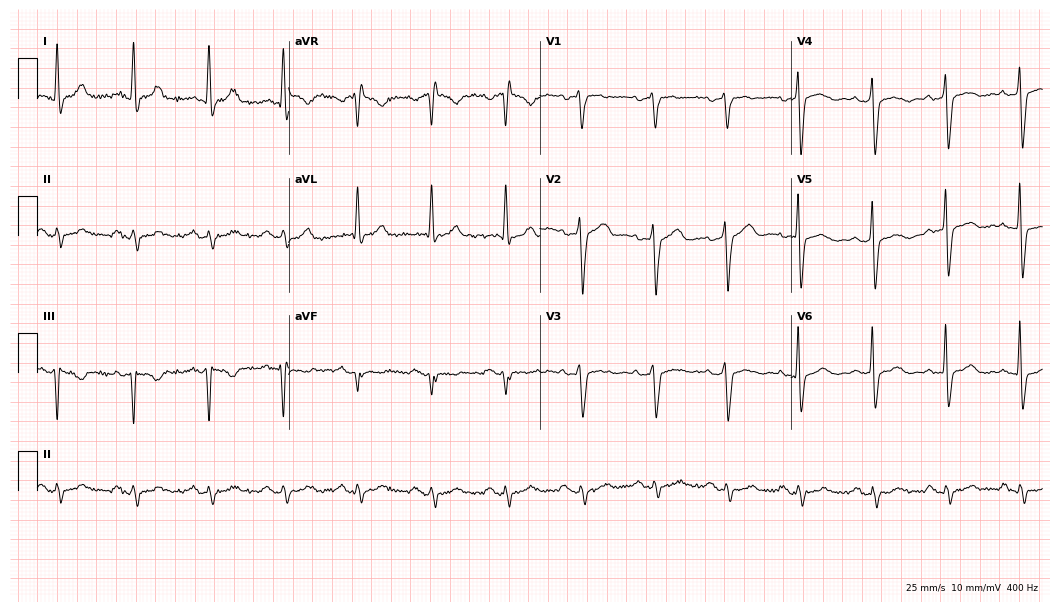
Standard 12-lead ECG recorded from a 52-year-old male patient (10.2-second recording at 400 Hz). None of these six findings is recorded: first-degree AV block, right bundle branch block, left bundle branch block, sinus bradycardia, atrial fibrillation, sinus tachycardia. Findings outside these six are not listed.